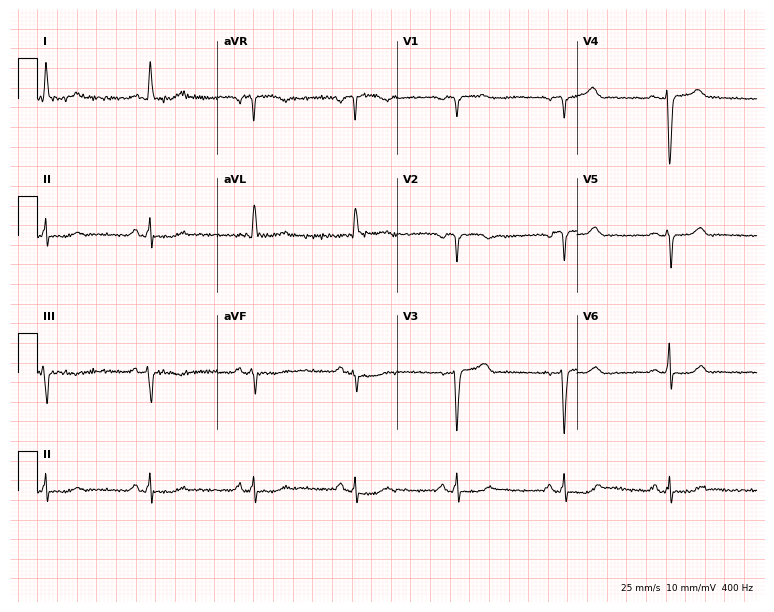
ECG — a 48-year-old woman. Labelled as a normal ECG.